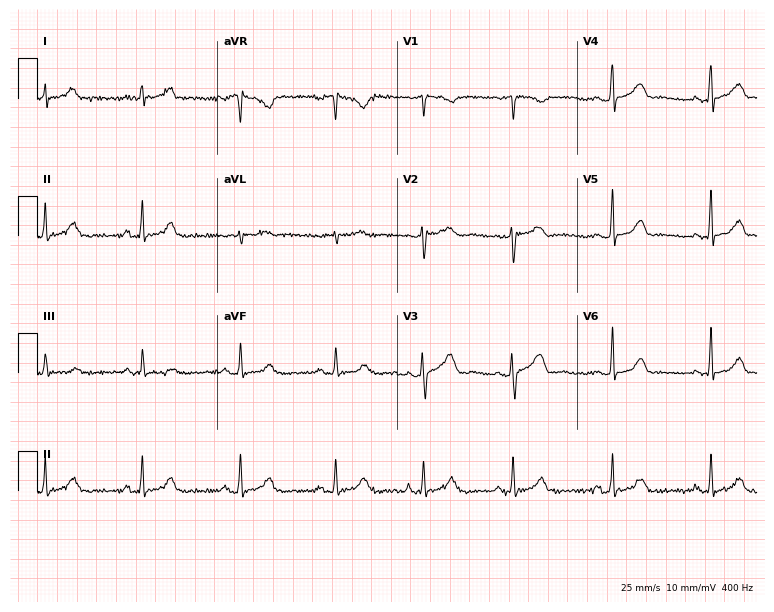
Resting 12-lead electrocardiogram. Patient: a female, 33 years old. Read as a normal ECG.